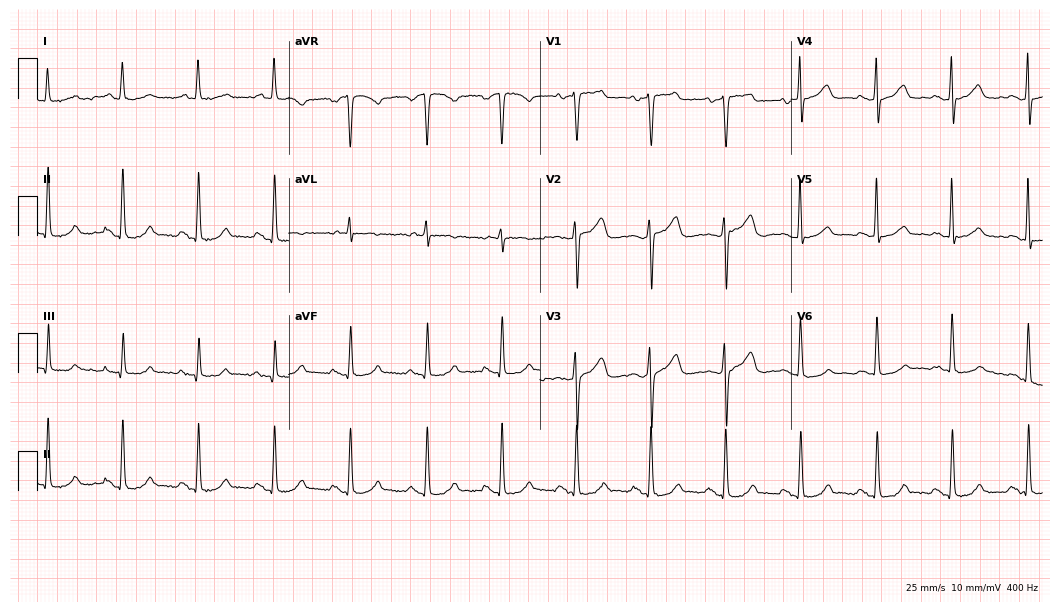
Standard 12-lead ECG recorded from a female, 72 years old (10.2-second recording at 400 Hz). None of these six findings is recorded: first-degree AV block, right bundle branch block, left bundle branch block, sinus bradycardia, atrial fibrillation, sinus tachycardia. Findings outside these six are not listed.